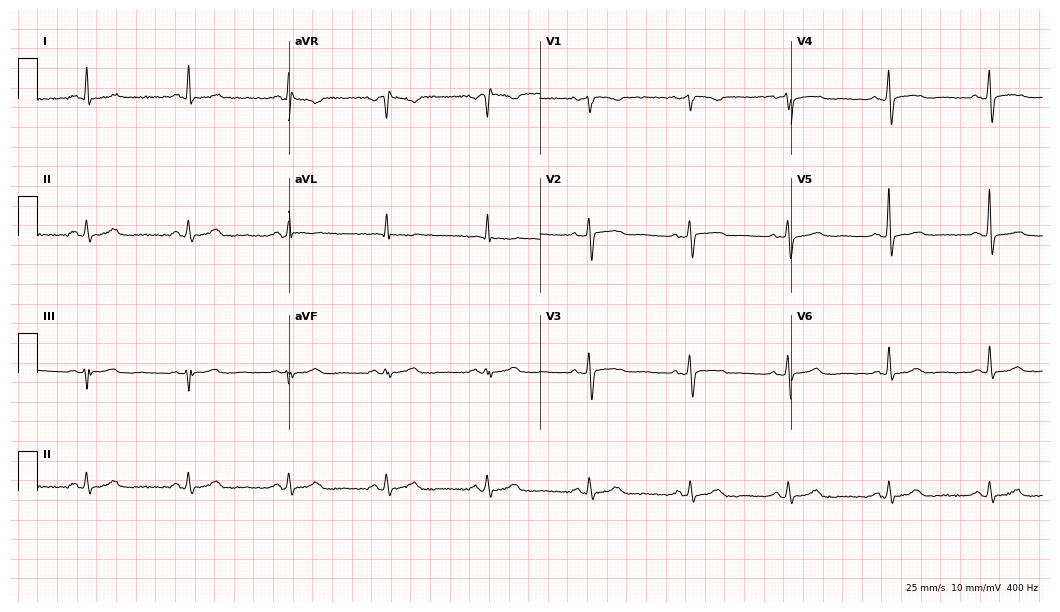
Resting 12-lead electrocardiogram (10.2-second recording at 400 Hz). Patient: a female, 49 years old. None of these six findings is recorded: first-degree AV block, right bundle branch block (RBBB), left bundle branch block (LBBB), sinus bradycardia, atrial fibrillation (AF), sinus tachycardia.